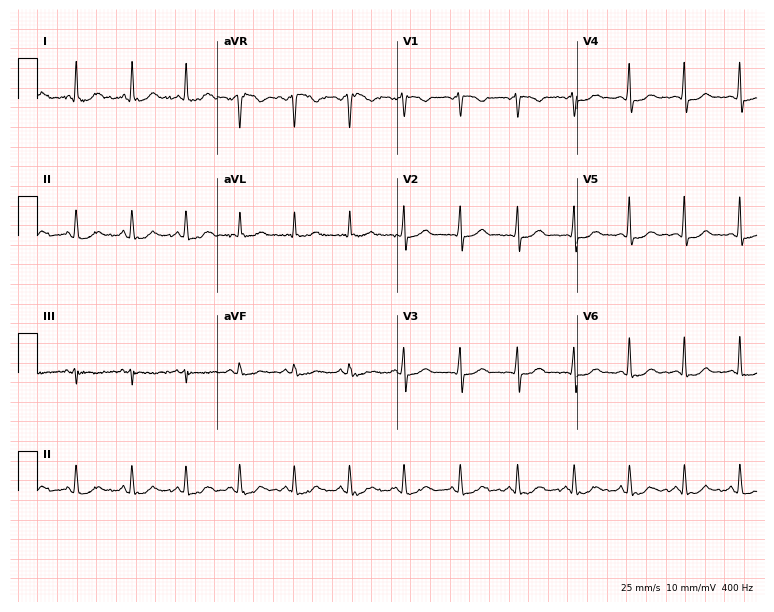
Resting 12-lead electrocardiogram (7.3-second recording at 400 Hz). Patient: a female, 44 years old. The tracing shows sinus tachycardia (a sinus rate of 100 beats per minute or more).